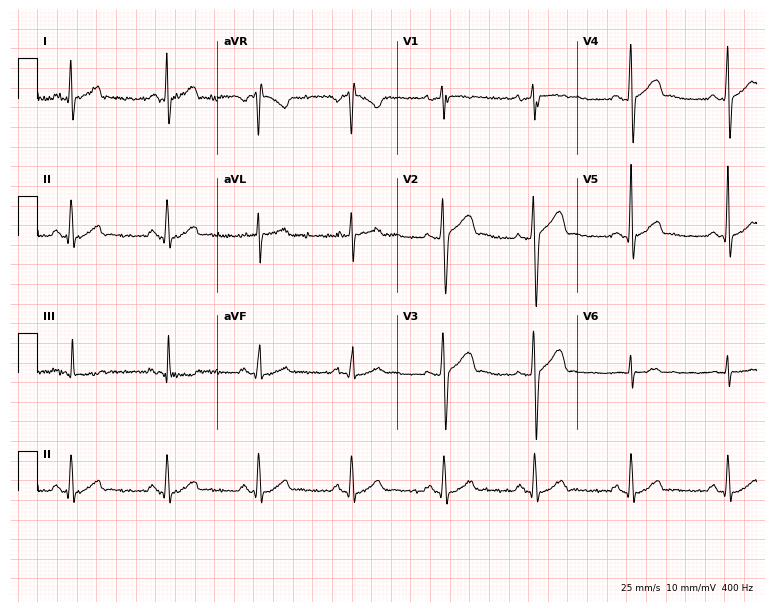
Resting 12-lead electrocardiogram. Patient: a man, 22 years old. None of these six findings is recorded: first-degree AV block, right bundle branch block, left bundle branch block, sinus bradycardia, atrial fibrillation, sinus tachycardia. Other findings, if any, are not listed.